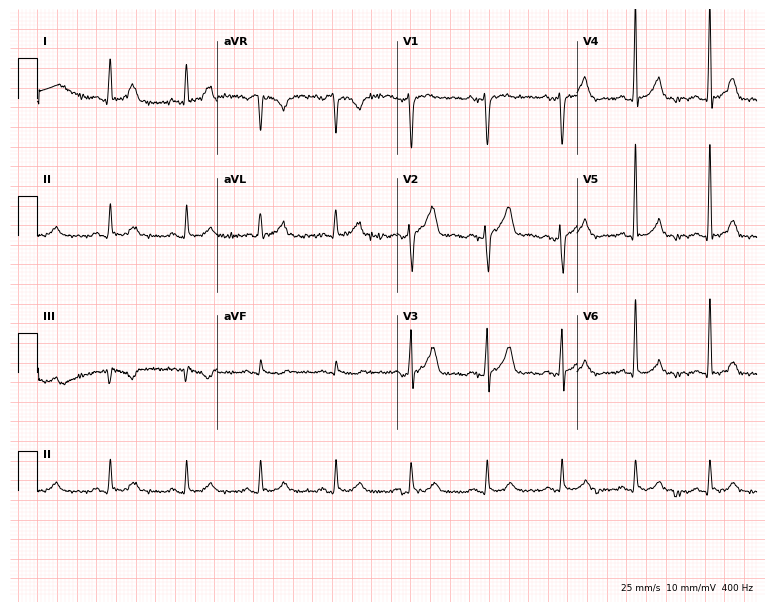
12-lead ECG from a 54-year-old male patient (7.3-second recording at 400 Hz). Recorded interpretation: within normal limits.